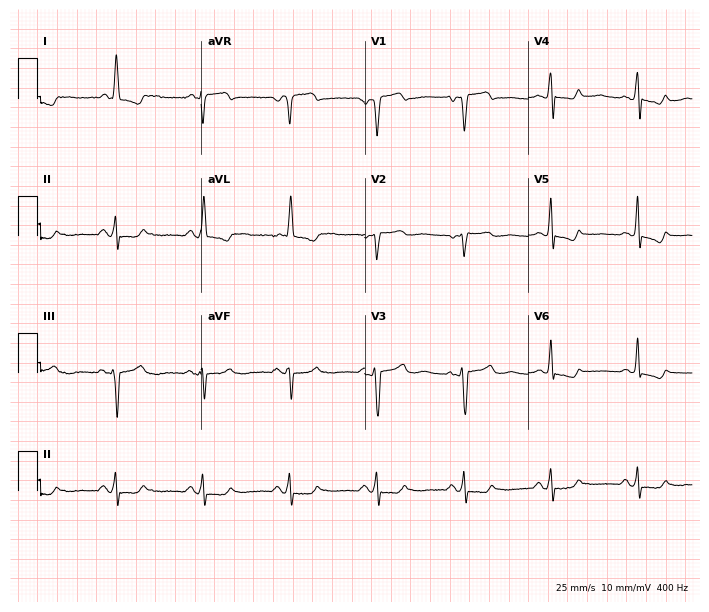
12-lead ECG (6.7-second recording at 400 Hz) from a 56-year-old woman. Screened for six findings — first-degree AV block, right bundle branch block, left bundle branch block, sinus bradycardia, atrial fibrillation, sinus tachycardia — none is recorded.